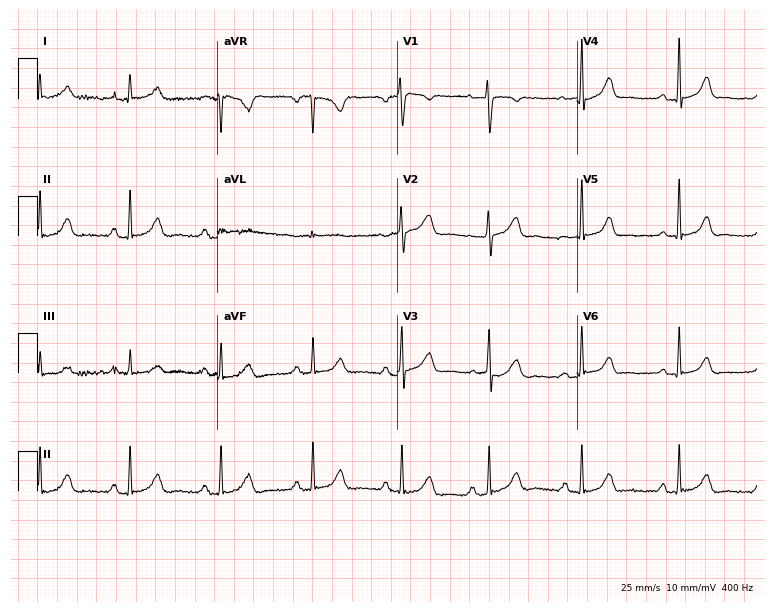
ECG — a woman, 51 years old. Labelled as a normal ECG.